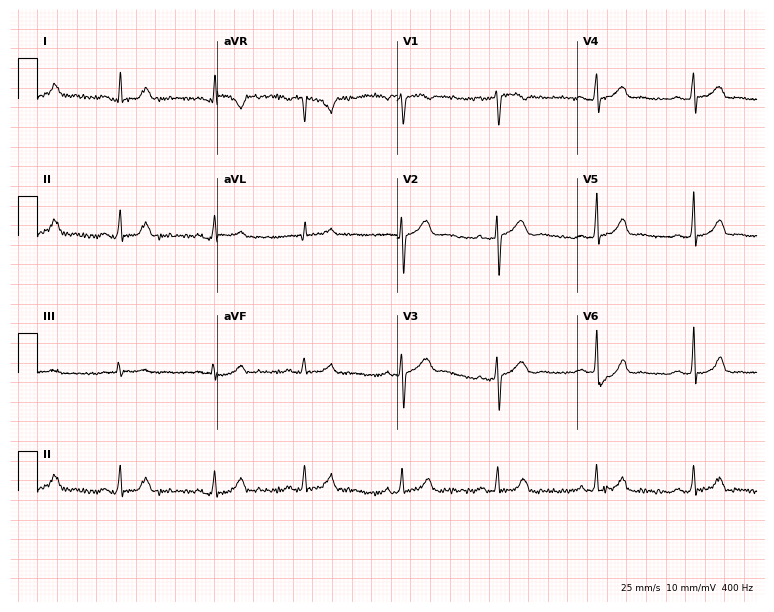
12-lead ECG from a 33-year-old female patient. Recorded interpretation: within normal limits.